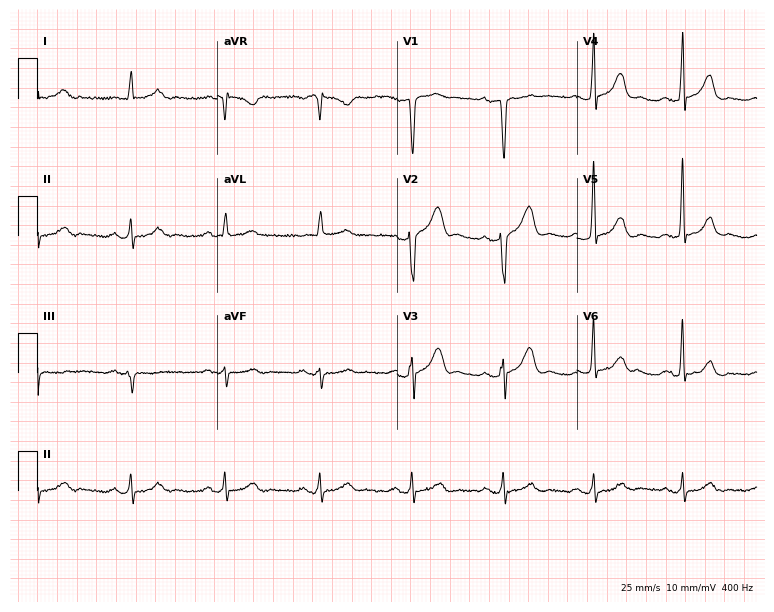
Resting 12-lead electrocardiogram. Patient: a 75-year-old male. Read as a normal ECG.